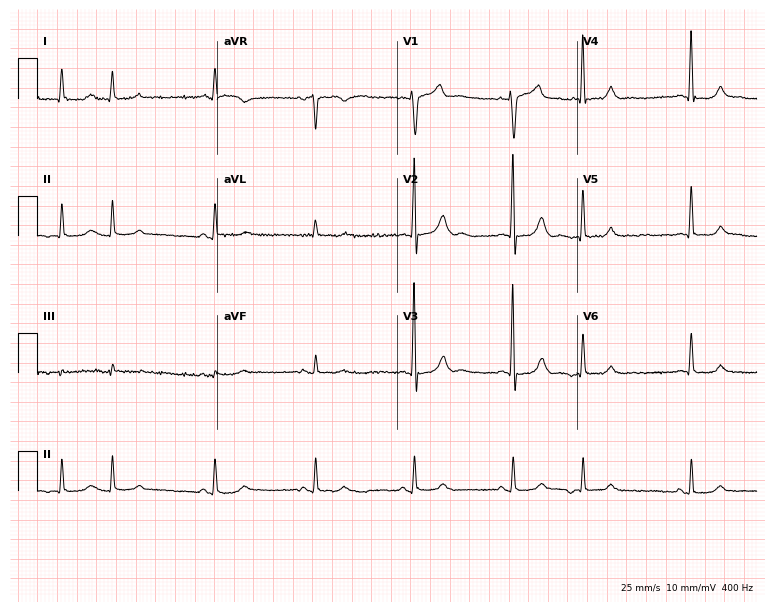
12-lead ECG from a man, 79 years old (7.3-second recording at 400 Hz). No first-degree AV block, right bundle branch block, left bundle branch block, sinus bradycardia, atrial fibrillation or sinus tachycardia recorded for this tracing.